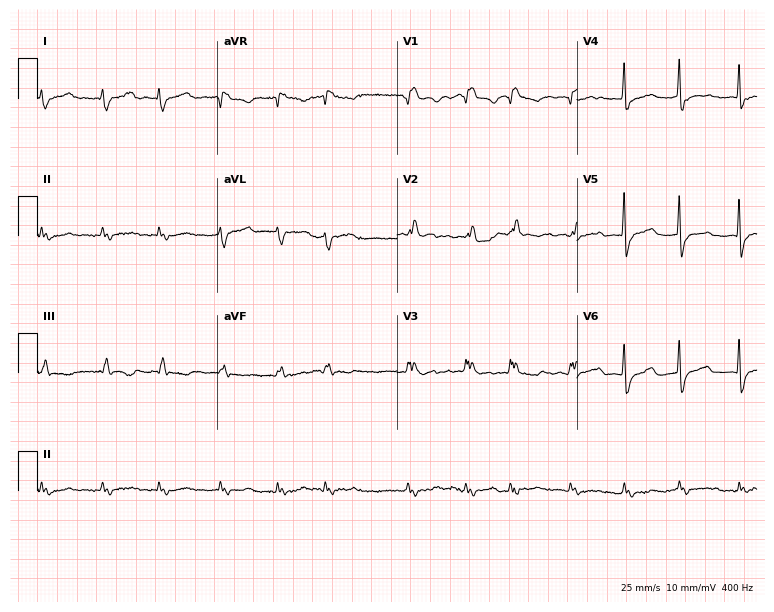
12-lead ECG (7.3-second recording at 400 Hz) from a female patient, 54 years old. Findings include right bundle branch block (RBBB).